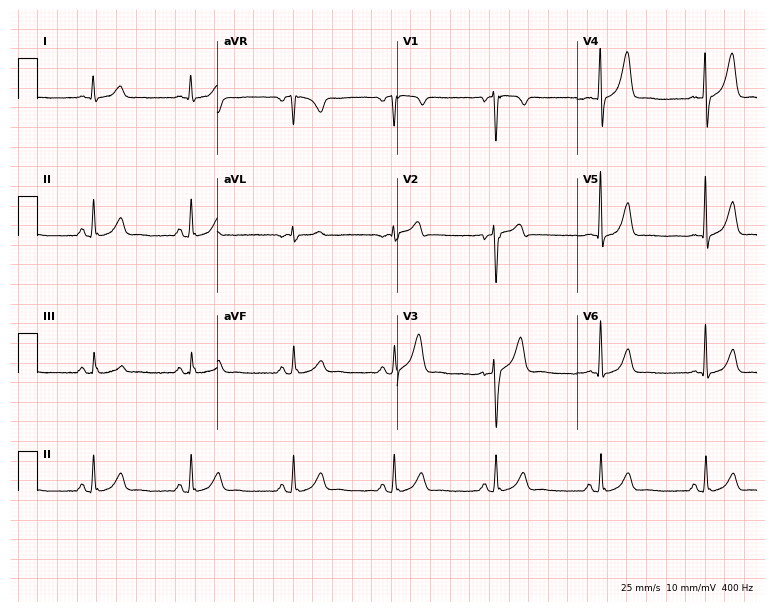
Resting 12-lead electrocardiogram (7.3-second recording at 400 Hz). Patient: a 41-year-old man. Read as a normal ECG.